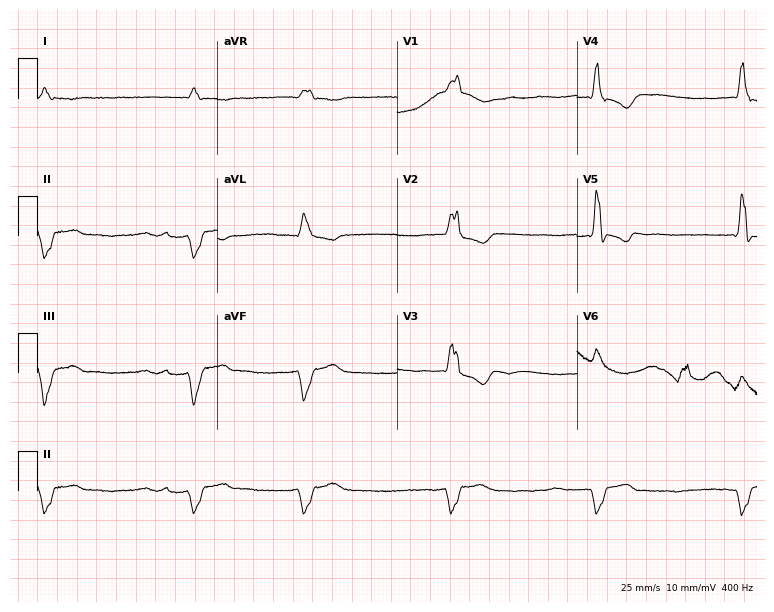
12-lead ECG (7.3-second recording at 400 Hz) from a male, 72 years old. Findings include right bundle branch block, atrial fibrillation.